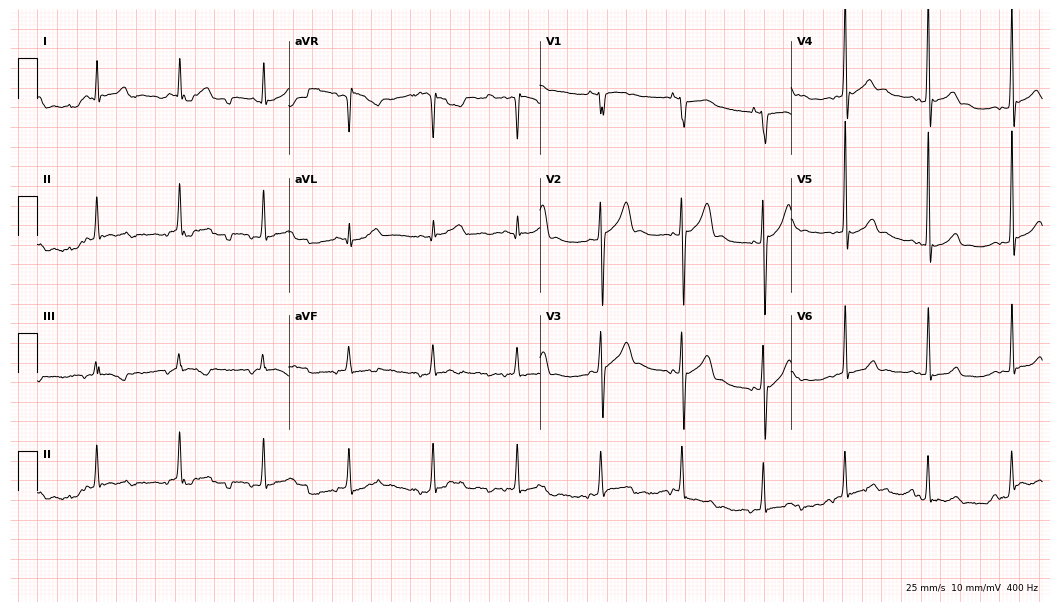
ECG — a 17-year-old male. Screened for six findings — first-degree AV block, right bundle branch block, left bundle branch block, sinus bradycardia, atrial fibrillation, sinus tachycardia — none is recorded.